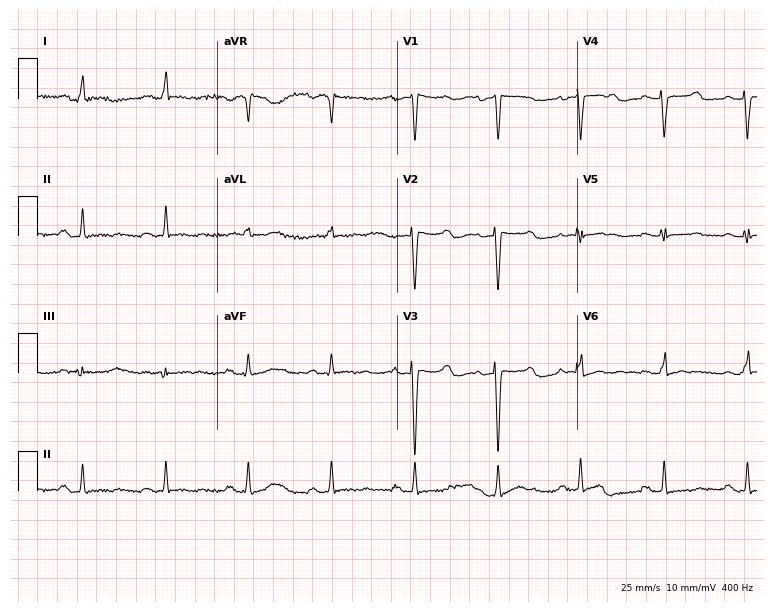
Standard 12-lead ECG recorded from a female, 66 years old. None of these six findings is recorded: first-degree AV block, right bundle branch block (RBBB), left bundle branch block (LBBB), sinus bradycardia, atrial fibrillation (AF), sinus tachycardia. Other findings, if any, are not listed.